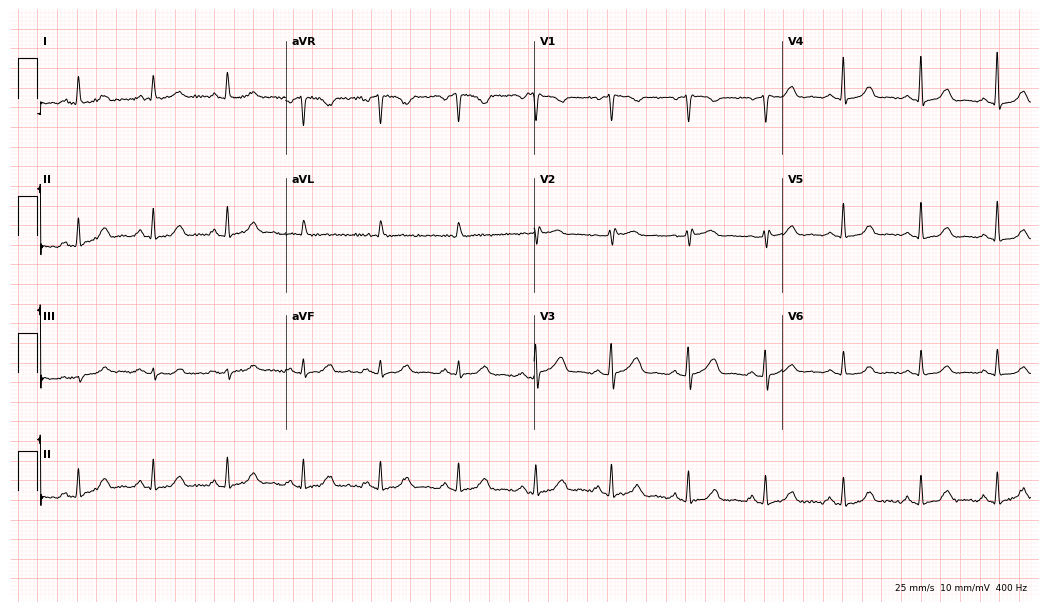
Electrocardiogram (10.1-second recording at 400 Hz), a woman, 62 years old. Of the six screened findings (first-degree AV block, right bundle branch block (RBBB), left bundle branch block (LBBB), sinus bradycardia, atrial fibrillation (AF), sinus tachycardia), none is recorded. Findings outside these six are not listed.